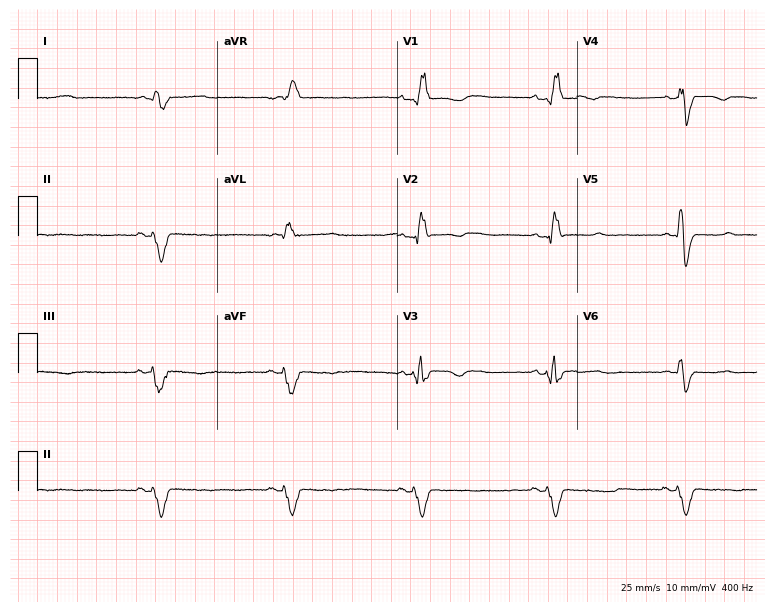
ECG — a male, 38 years old. Findings include right bundle branch block, sinus bradycardia (a sinus rate of 50 beats per minute or less).